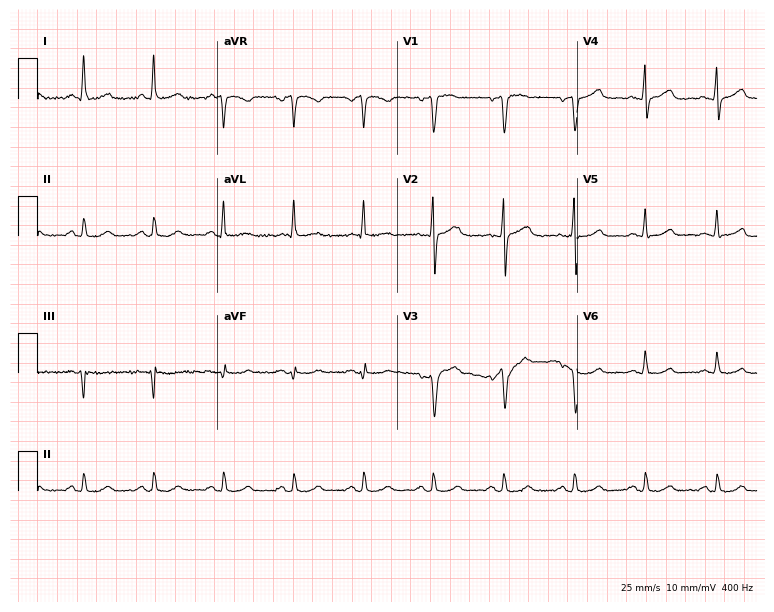
12-lead ECG (7.3-second recording at 400 Hz) from a man, 69 years old. Labelled as a normal ECG.